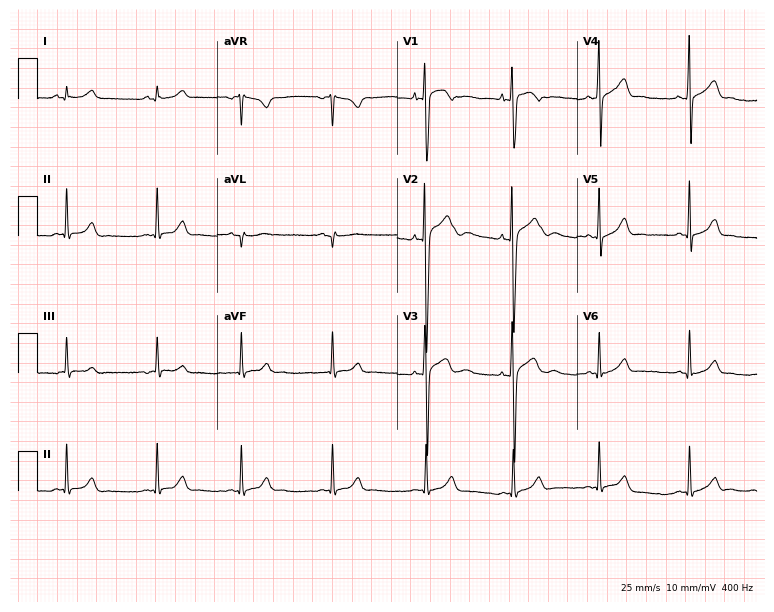
12-lead ECG from a 17-year-old man. No first-degree AV block, right bundle branch block, left bundle branch block, sinus bradycardia, atrial fibrillation or sinus tachycardia recorded for this tracing. Only these six findings were labelled.